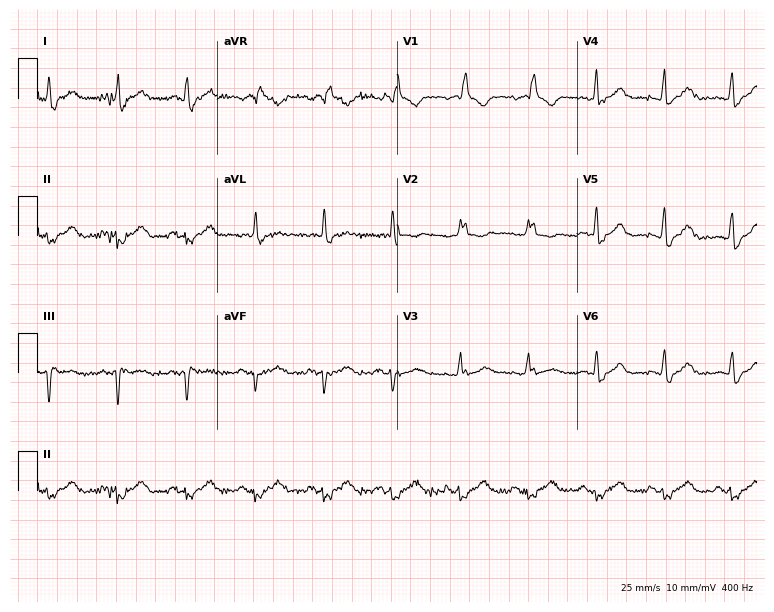
Standard 12-lead ECG recorded from a 64-year-old male patient (7.3-second recording at 400 Hz). The tracing shows right bundle branch block (RBBB).